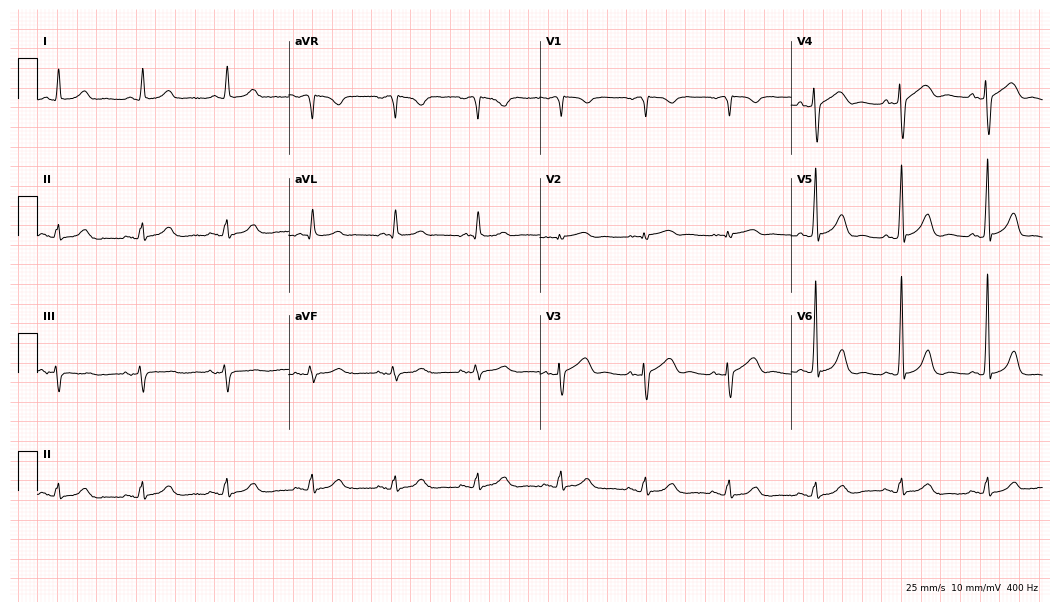
12-lead ECG from a male, 67 years old. Recorded interpretation: within normal limits.